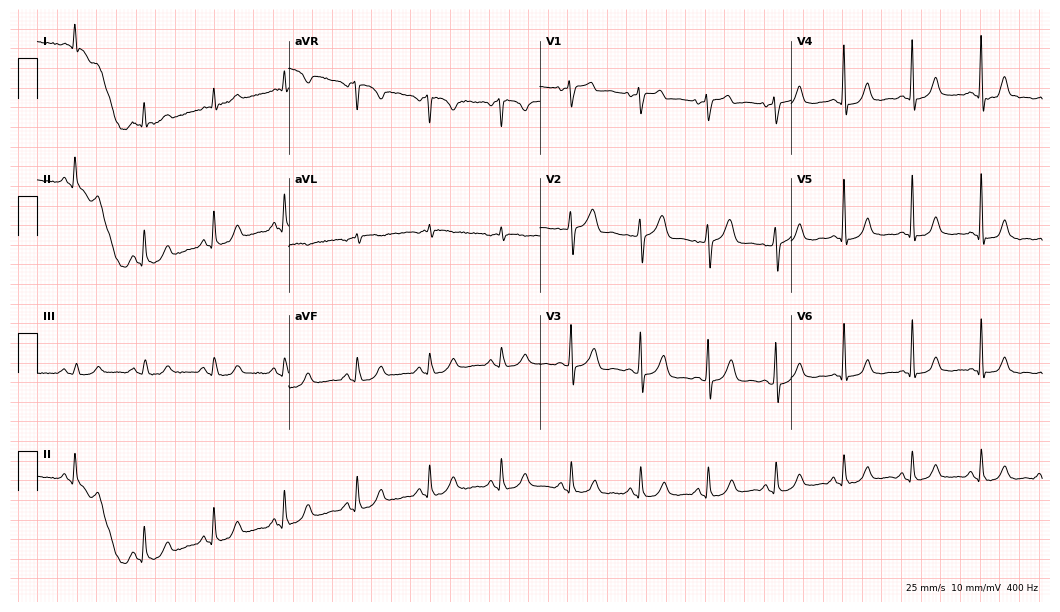
Standard 12-lead ECG recorded from a 59-year-old man (10.2-second recording at 400 Hz). Read as a normal ECG.